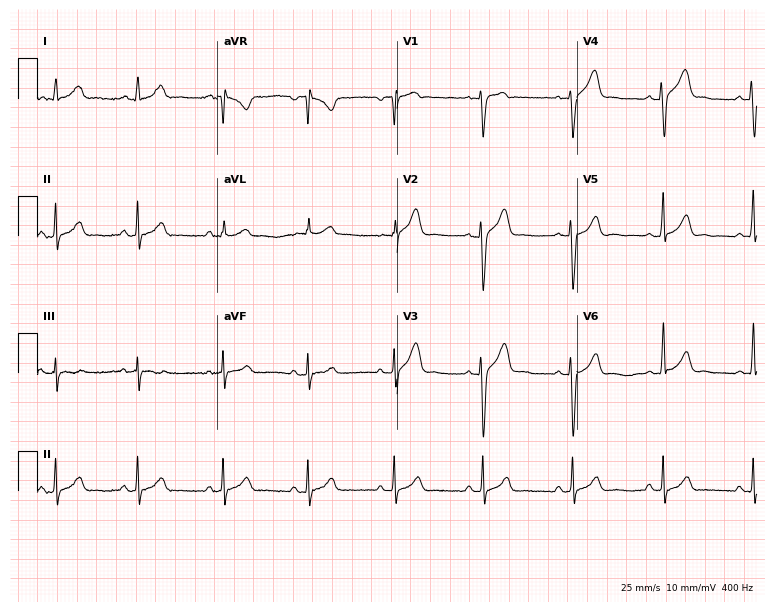
12-lead ECG from a 27-year-old man. Recorded interpretation: within normal limits.